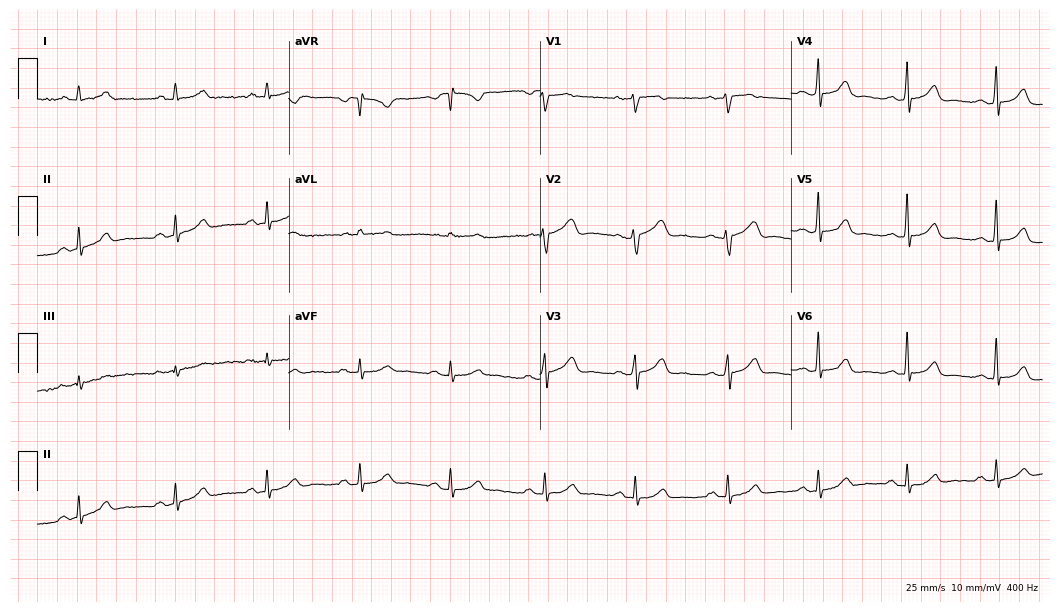
Standard 12-lead ECG recorded from a 65-year-old female. None of these six findings is recorded: first-degree AV block, right bundle branch block, left bundle branch block, sinus bradycardia, atrial fibrillation, sinus tachycardia. Findings outside these six are not listed.